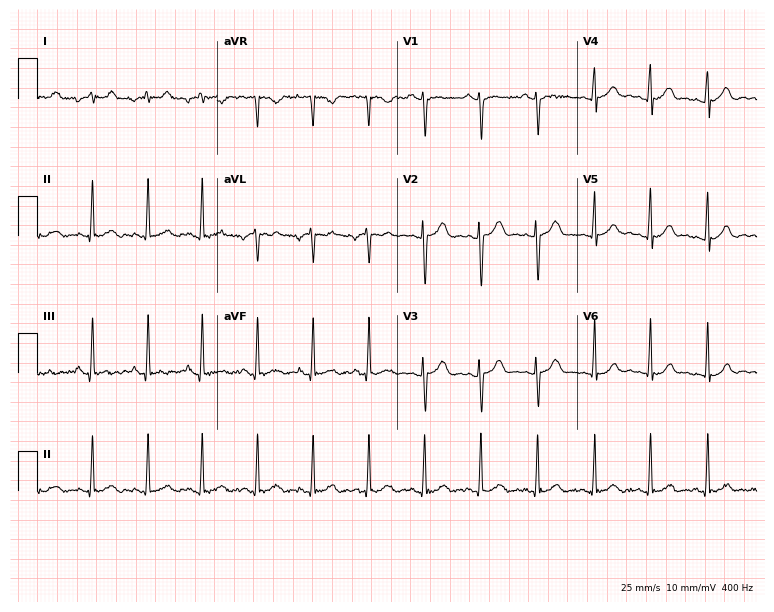
ECG (7.3-second recording at 400 Hz) — a female patient, 18 years old. Screened for six findings — first-degree AV block, right bundle branch block, left bundle branch block, sinus bradycardia, atrial fibrillation, sinus tachycardia — none is recorded. Findings outside these six are not listed.